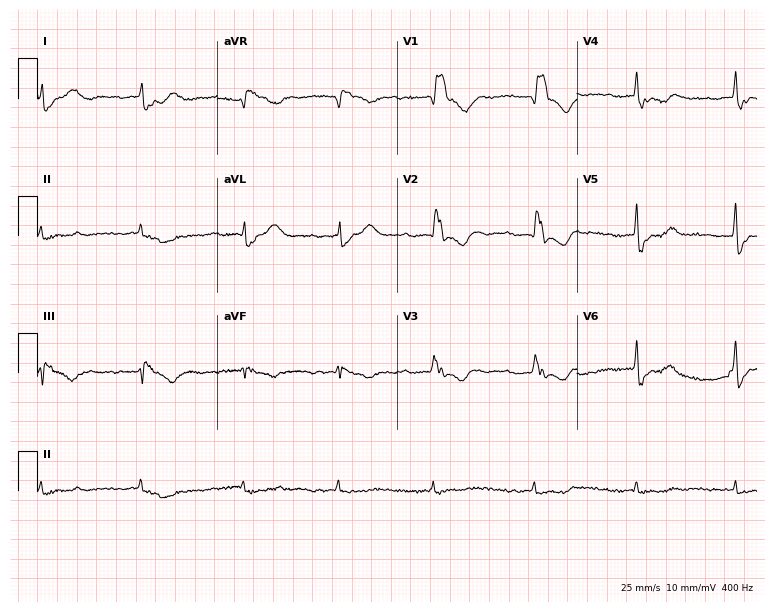
Electrocardiogram (7.3-second recording at 400 Hz), an 85-year-old male. Interpretation includes right bundle branch block.